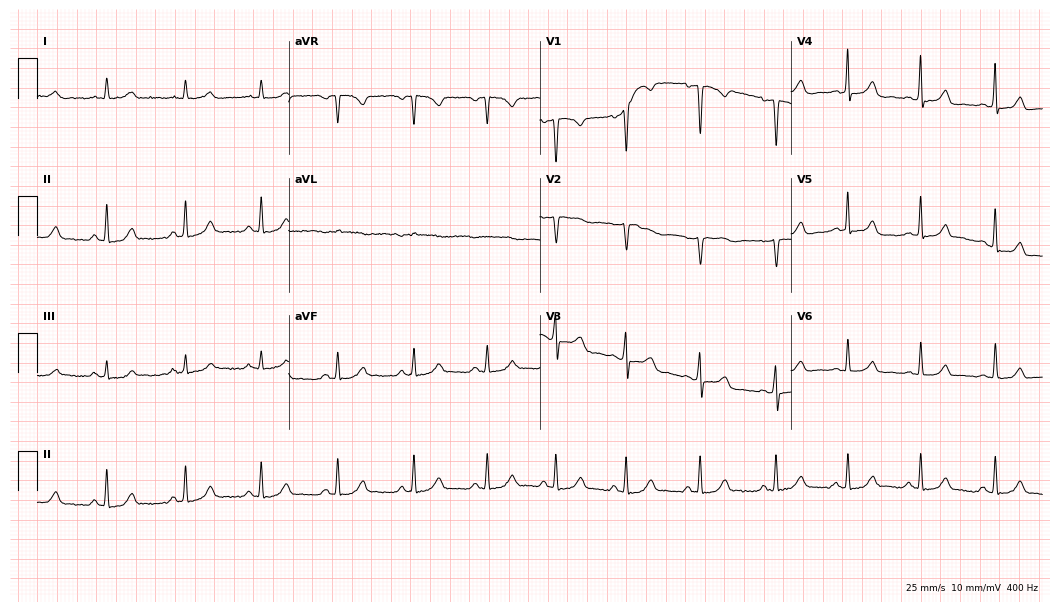
Standard 12-lead ECG recorded from a 34-year-old female. Read as a normal ECG.